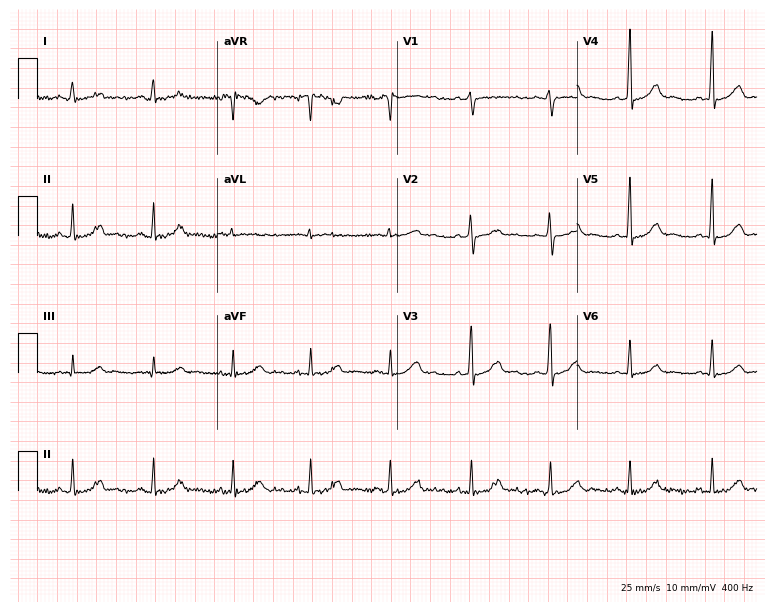
Standard 12-lead ECG recorded from a 28-year-old woman. None of these six findings is recorded: first-degree AV block, right bundle branch block, left bundle branch block, sinus bradycardia, atrial fibrillation, sinus tachycardia.